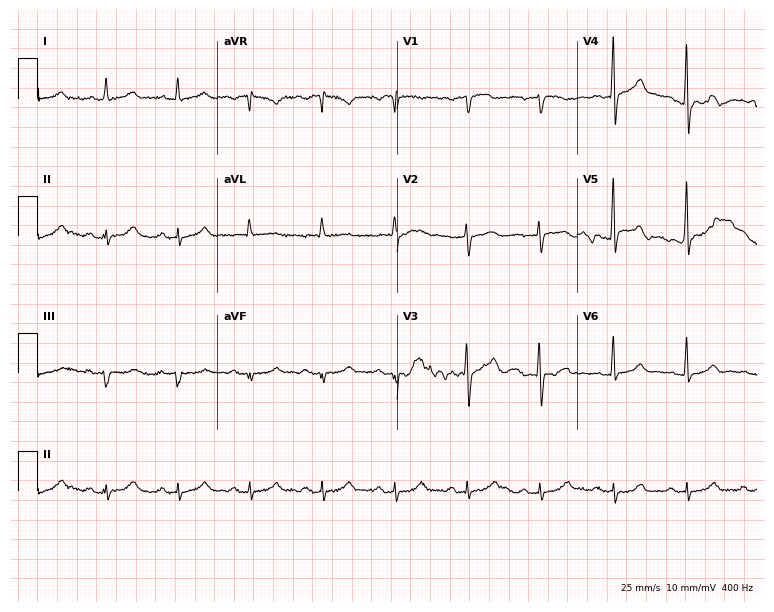
ECG — a male, 74 years old. Labelled as a normal ECG.